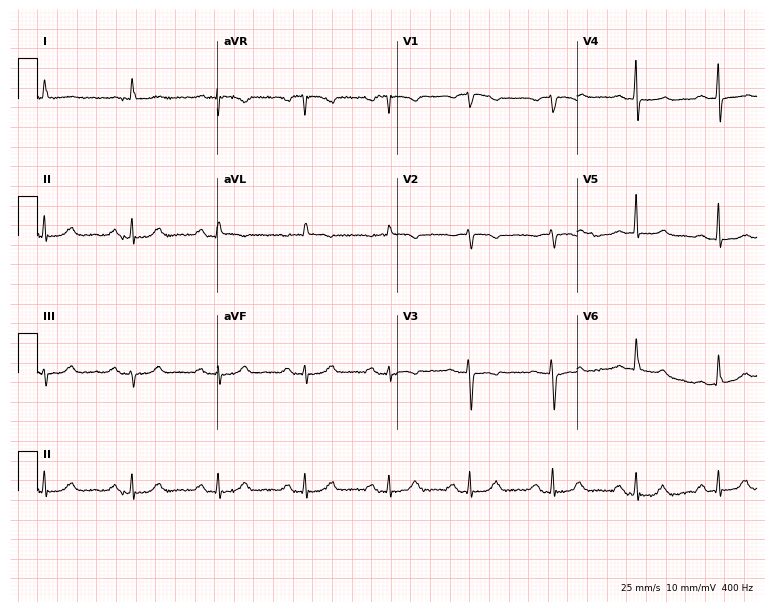
Standard 12-lead ECG recorded from a 66-year-old female patient. None of these six findings is recorded: first-degree AV block, right bundle branch block, left bundle branch block, sinus bradycardia, atrial fibrillation, sinus tachycardia.